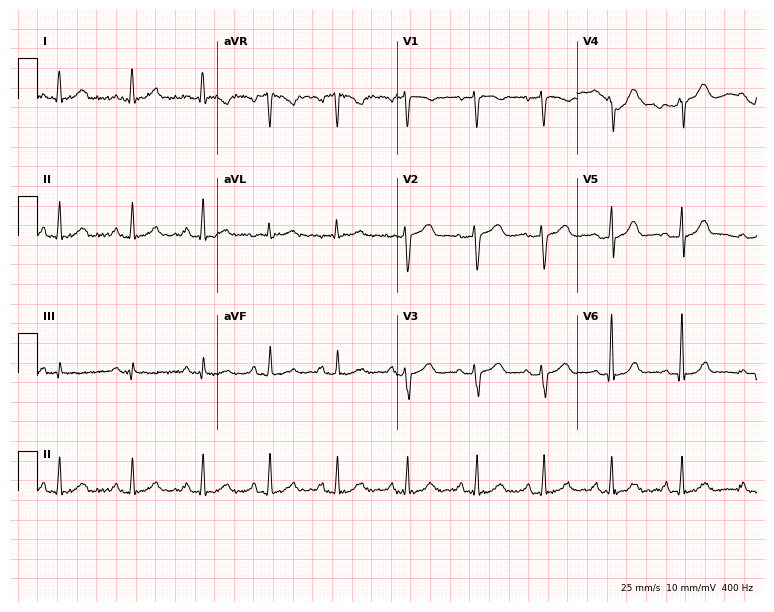
ECG — a woman, 48 years old. Screened for six findings — first-degree AV block, right bundle branch block (RBBB), left bundle branch block (LBBB), sinus bradycardia, atrial fibrillation (AF), sinus tachycardia — none is recorded.